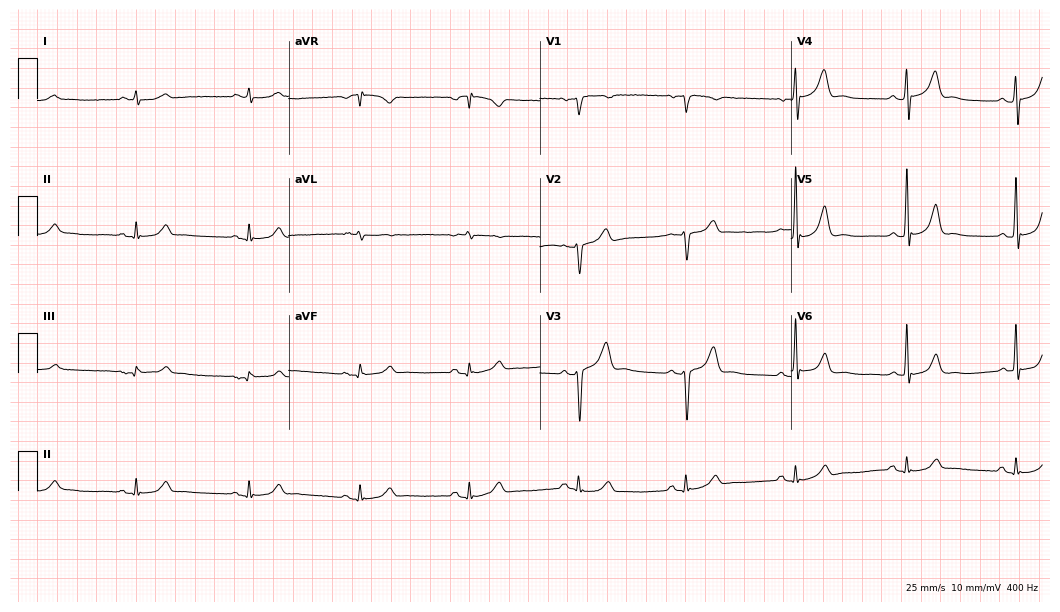
12-lead ECG from a 60-year-old male. No first-degree AV block, right bundle branch block (RBBB), left bundle branch block (LBBB), sinus bradycardia, atrial fibrillation (AF) or sinus tachycardia recorded for this tracing. Other findings, if any, are not listed.